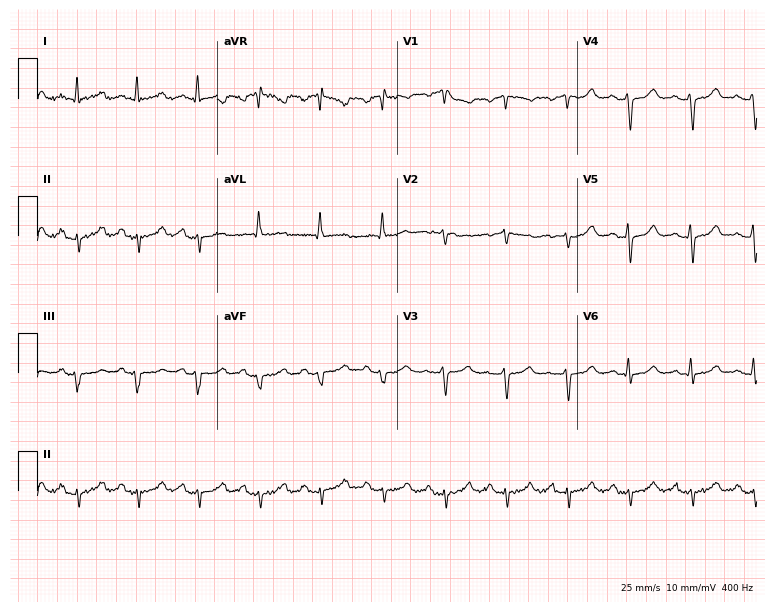
12-lead ECG (7.3-second recording at 400 Hz) from a female, 56 years old. Screened for six findings — first-degree AV block, right bundle branch block, left bundle branch block, sinus bradycardia, atrial fibrillation, sinus tachycardia — none is recorded. Findings outside these six are not listed.